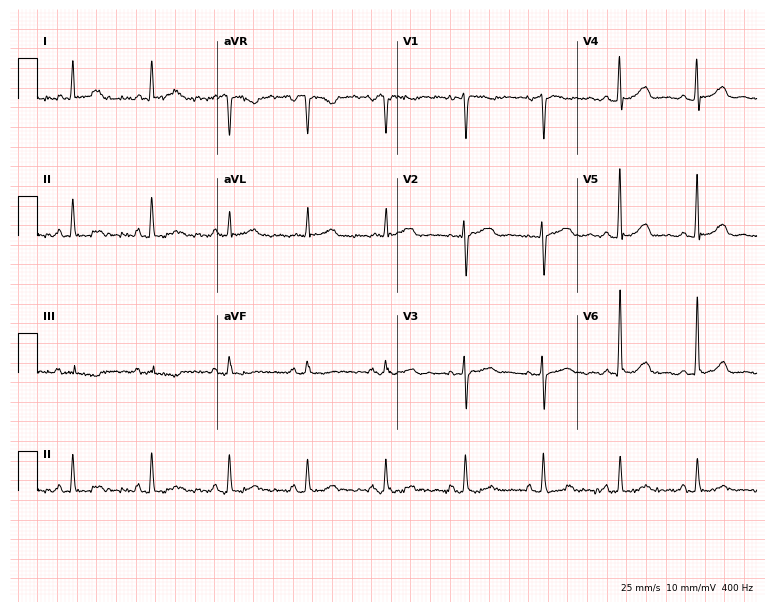
Standard 12-lead ECG recorded from a woman, 79 years old (7.3-second recording at 400 Hz). Read as a normal ECG.